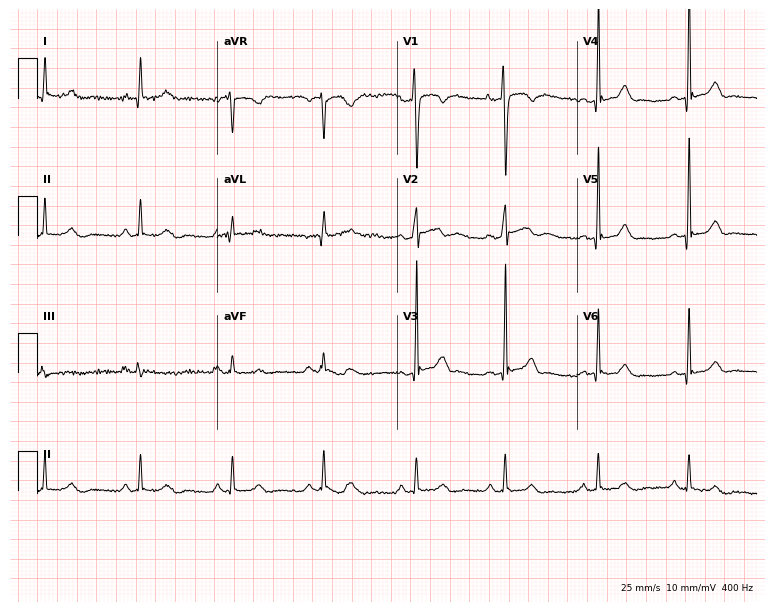
12-lead ECG (7.3-second recording at 400 Hz) from a male patient, 43 years old. Screened for six findings — first-degree AV block, right bundle branch block, left bundle branch block, sinus bradycardia, atrial fibrillation, sinus tachycardia — none is recorded. Findings outside these six are not listed.